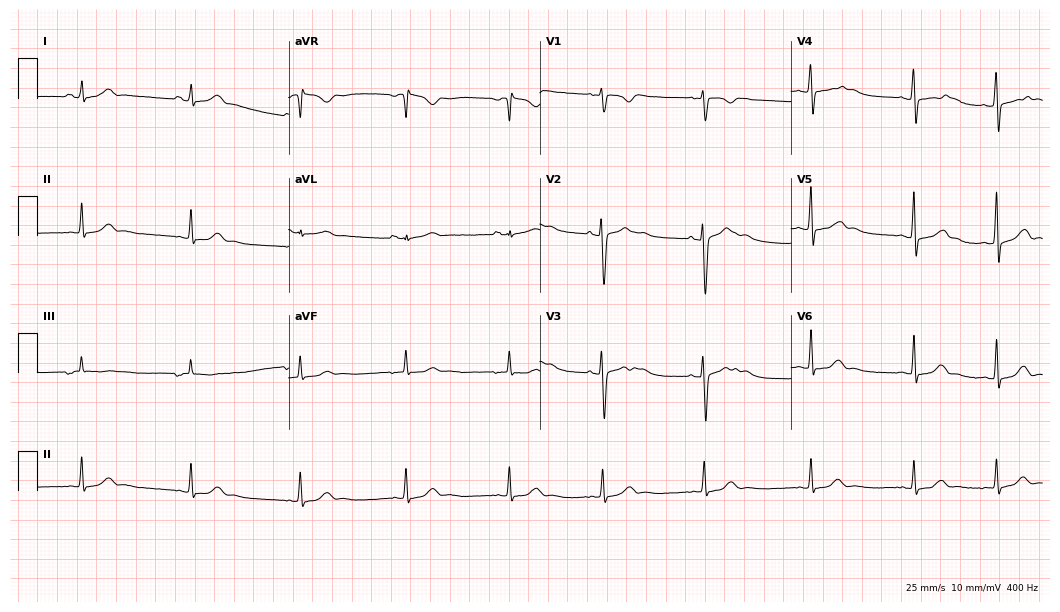
12-lead ECG from a 22-year-old woman (10.2-second recording at 400 Hz). Recorded interpretation: within normal limits.